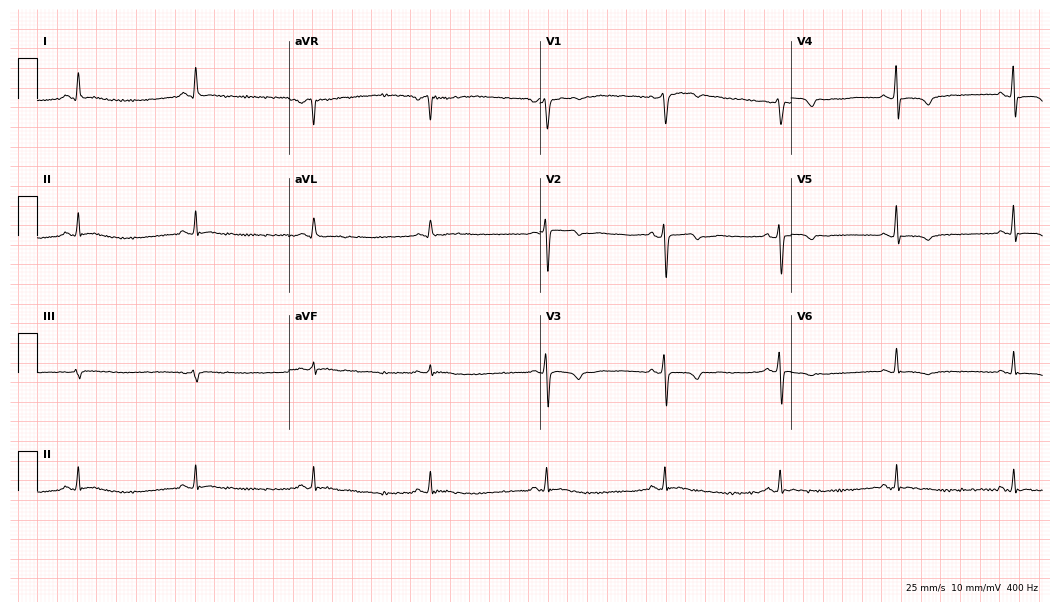
Resting 12-lead electrocardiogram (10.2-second recording at 400 Hz). Patient: a 62-year-old female. None of these six findings is recorded: first-degree AV block, right bundle branch block (RBBB), left bundle branch block (LBBB), sinus bradycardia, atrial fibrillation (AF), sinus tachycardia.